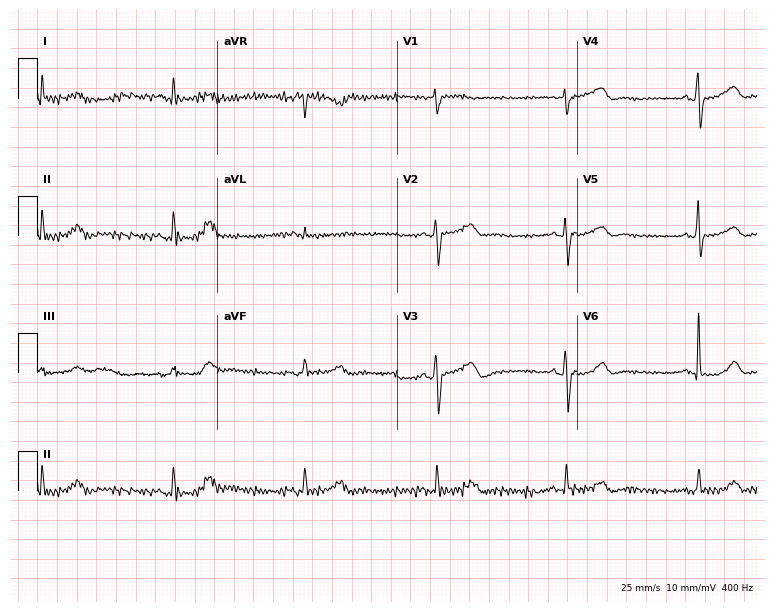
12-lead ECG from a male, 72 years old. Findings include sinus bradycardia (a sinus rate of 50 beats per minute or less).